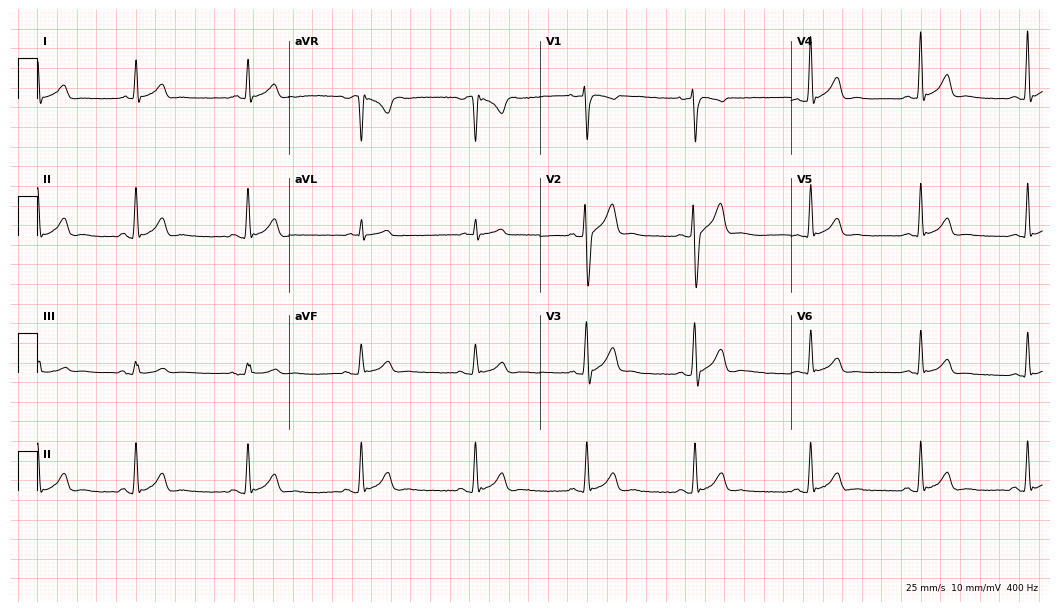
12-lead ECG from a 27-year-old male. Recorded interpretation: within normal limits.